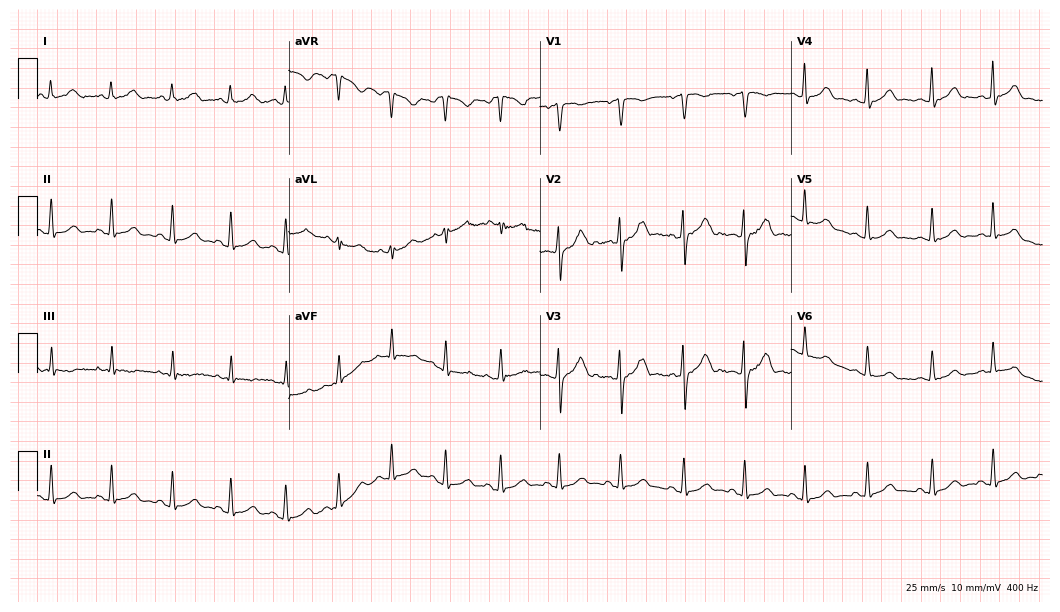
Resting 12-lead electrocardiogram (10.2-second recording at 400 Hz). Patient: a female, 23 years old. Read as a normal ECG.